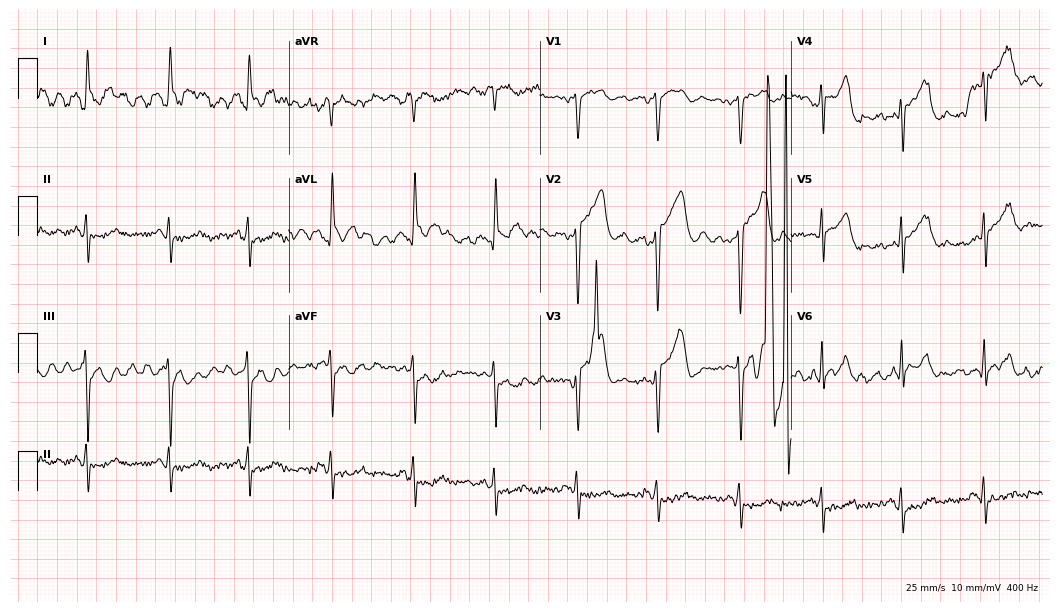
Resting 12-lead electrocardiogram. Patient: a 70-year-old male. None of these six findings is recorded: first-degree AV block, right bundle branch block, left bundle branch block, sinus bradycardia, atrial fibrillation, sinus tachycardia.